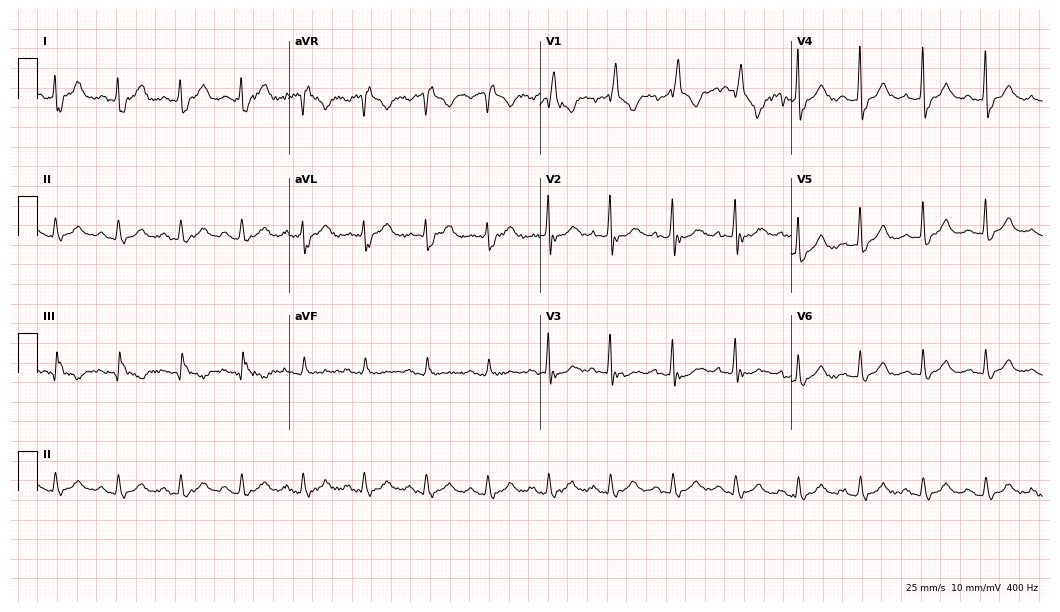
ECG — a man, 56 years old. Screened for six findings — first-degree AV block, right bundle branch block (RBBB), left bundle branch block (LBBB), sinus bradycardia, atrial fibrillation (AF), sinus tachycardia — none is recorded.